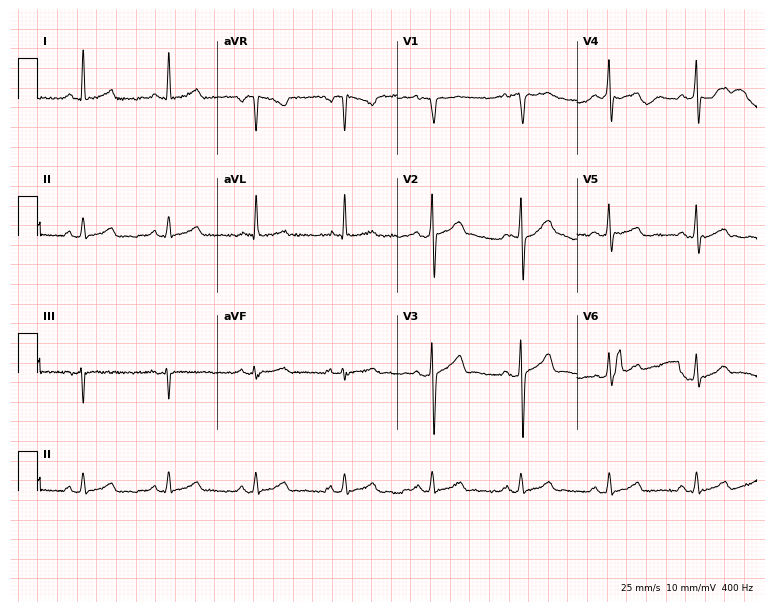
ECG — a 45-year-old man. Labelled as a normal ECG.